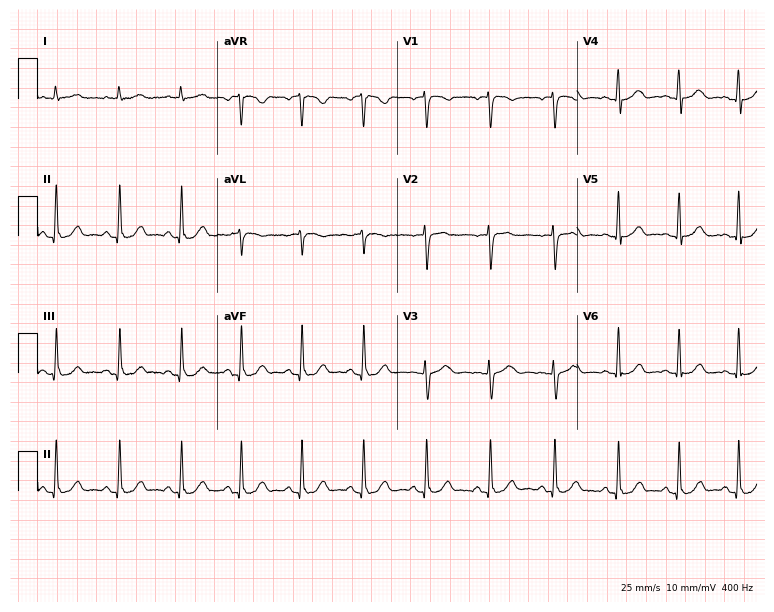
ECG (7.3-second recording at 400 Hz) — a 41-year-old female patient. Labelled as a normal ECG.